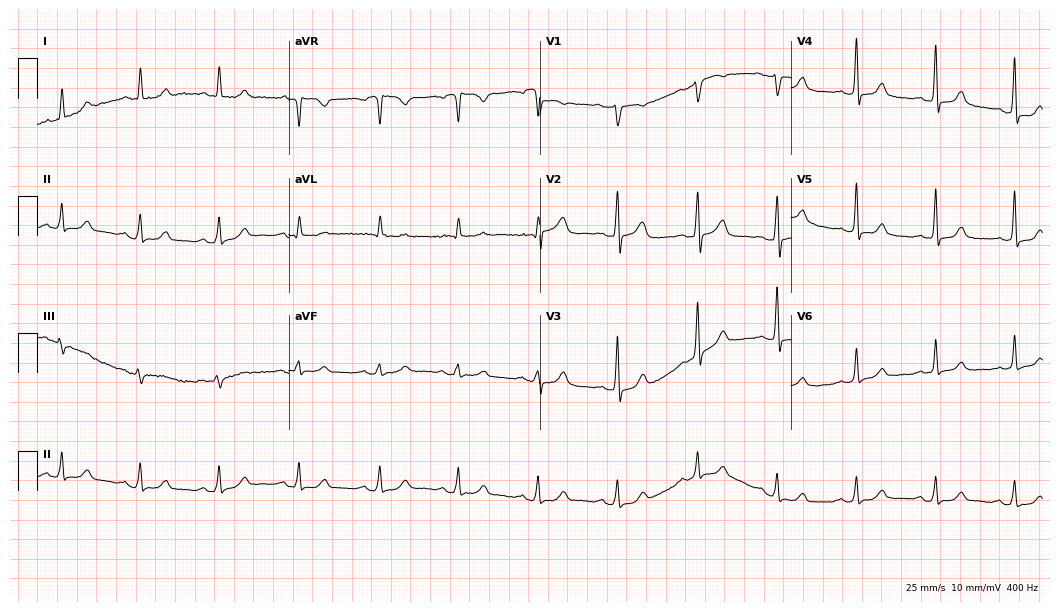
12-lead ECG (10.2-second recording at 400 Hz) from a 63-year-old woman. Labelled as a normal ECG.